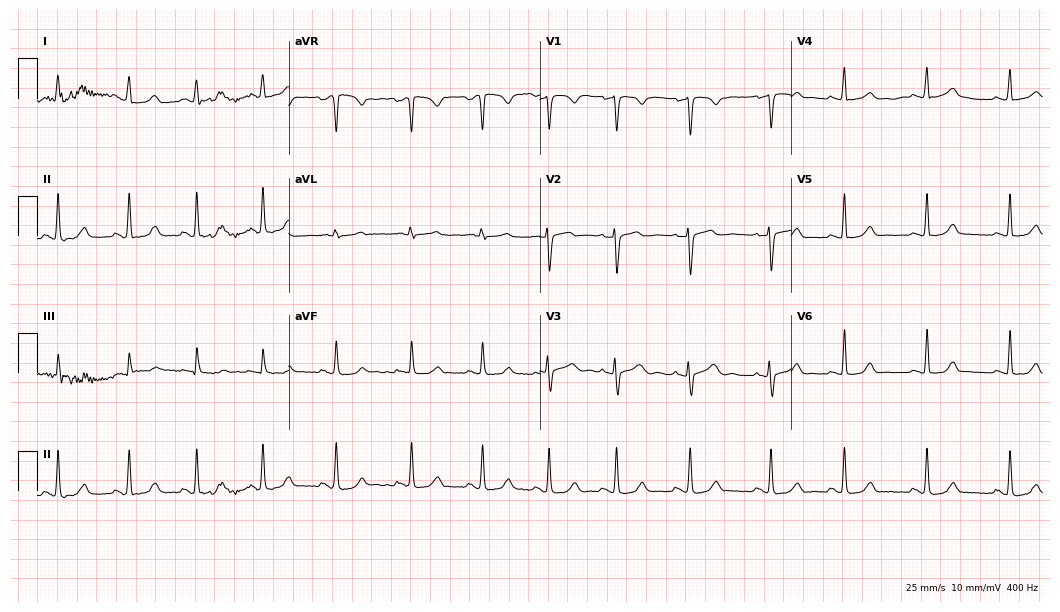
Standard 12-lead ECG recorded from a female patient, 29 years old (10.2-second recording at 400 Hz). None of these six findings is recorded: first-degree AV block, right bundle branch block (RBBB), left bundle branch block (LBBB), sinus bradycardia, atrial fibrillation (AF), sinus tachycardia.